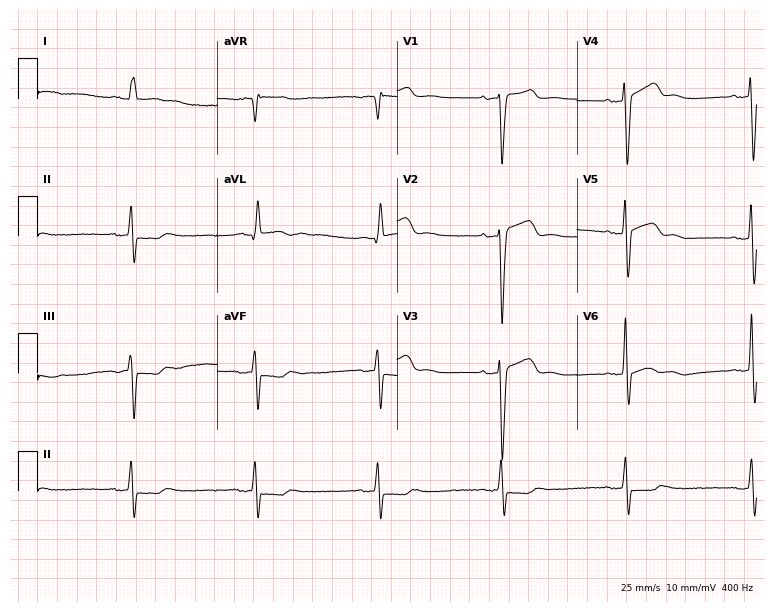
Standard 12-lead ECG recorded from a female, 78 years old. The tracing shows sinus bradycardia (a sinus rate of 50 beats per minute or less).